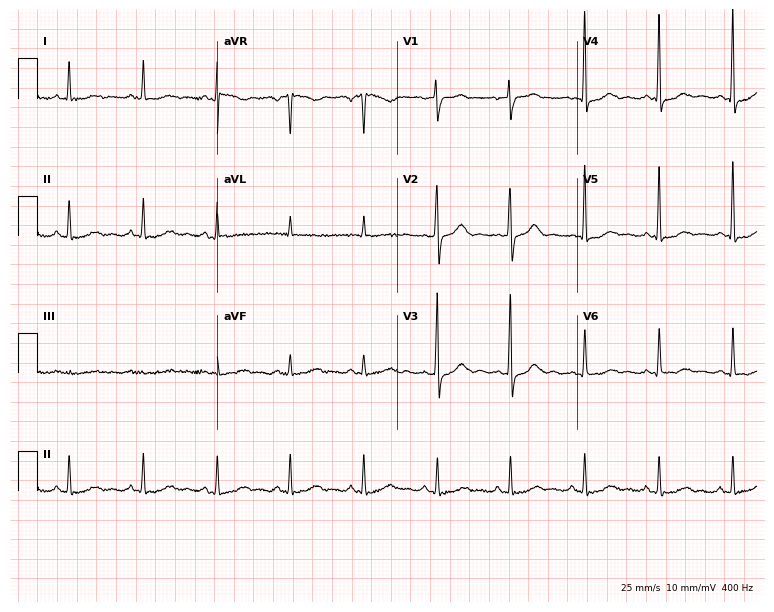
Standard 12-lead ECG recorded from a 68-year-old female patient. None of these six findings is recorded: first-degree AV block, right bundle branch block (RBBB), left bundle branch block (LBBB), sinus bradycardia, atrial fibrillation (AF), sinus tachycardia.